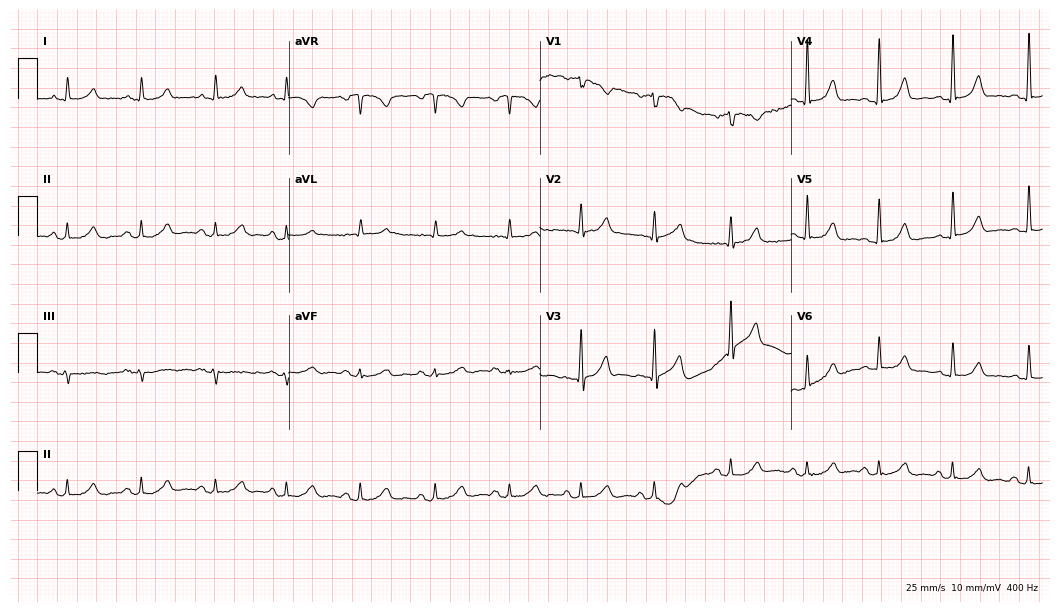
Standard 12-lead ECG recorded from a female patient, 82 years old (10.2-second recording at 400 Hz). Read as a normal ECG.